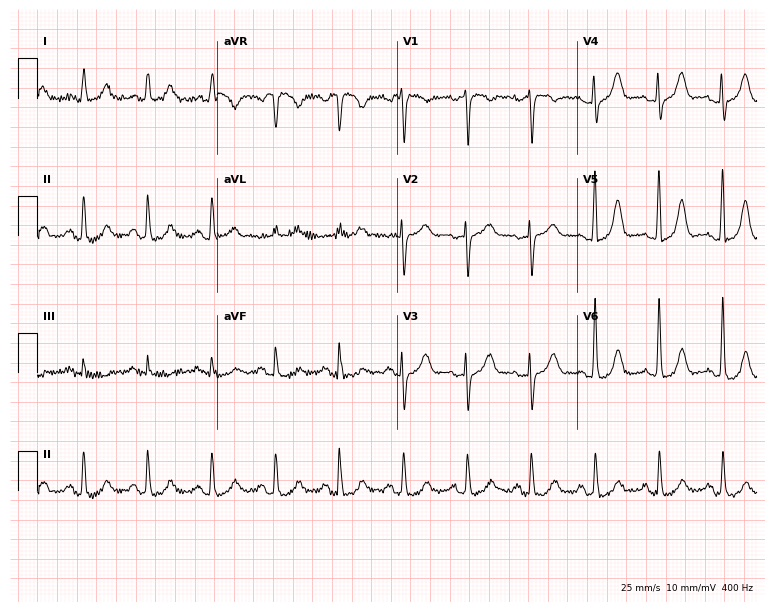
Standard 12-lead ECG recorded from a woman, 71 years old. None of these six findings is recorded: first-degree AV block, right bundle branch block (RBBB), left bundle branch block (LBBB), sinus bradycardia, atrial fibrillation (AF), sinus tachycardia.